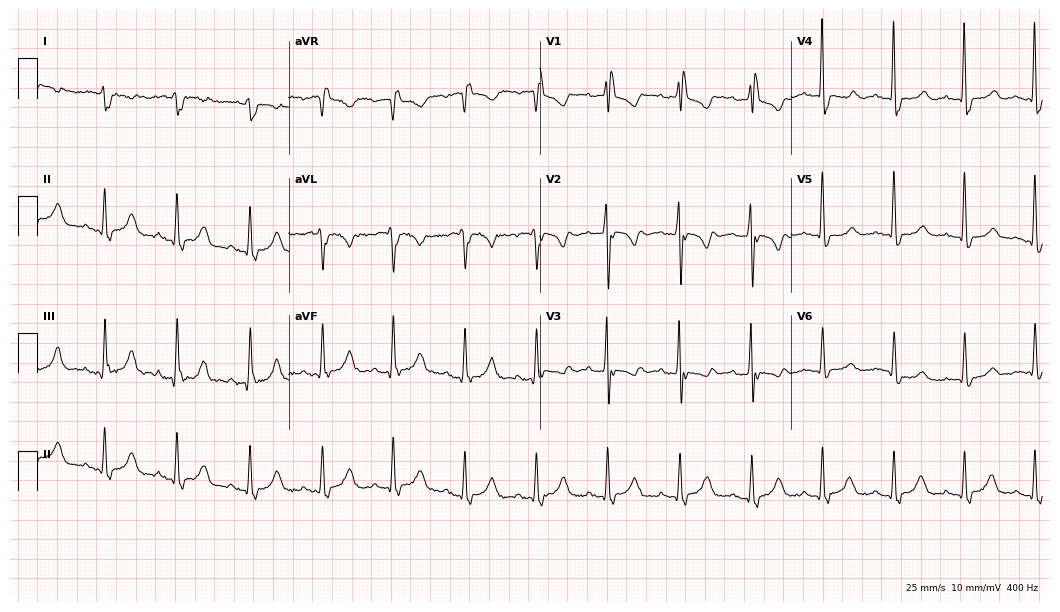
Standard 12-lead ECG recorded from an 80-year-old man. The tracing shows right bundle branch block (RBBB).